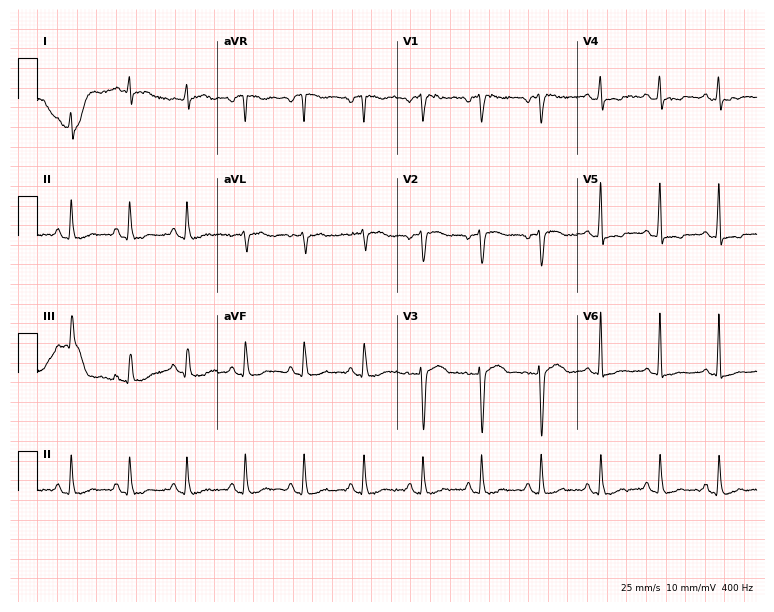
Electrocardiogram, a female patient, 35 years old. Interpretation includes sinus tachycardia (a sinus rate of 100 beats per minute or more).